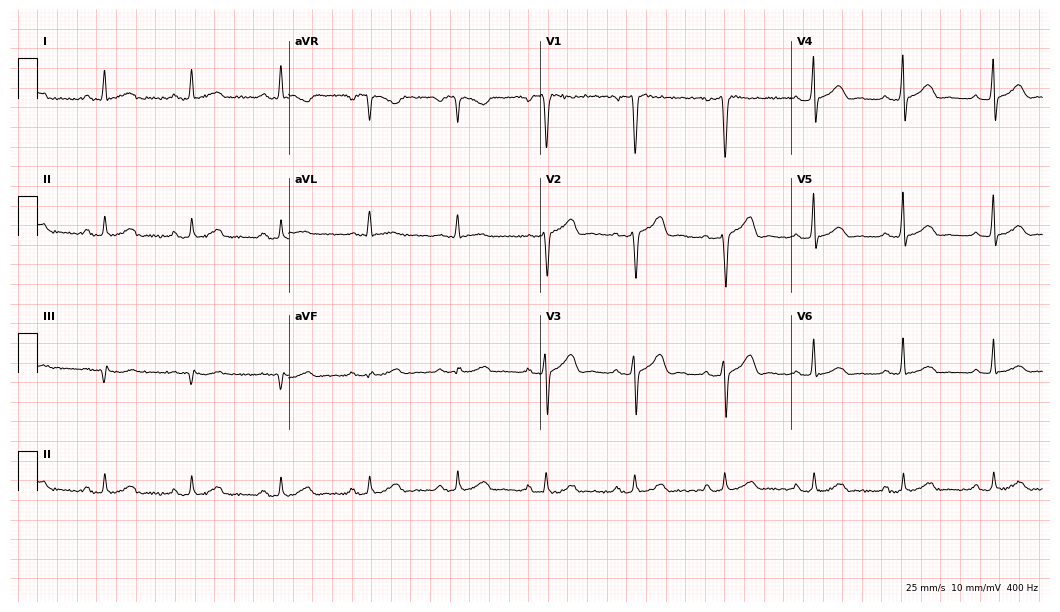
Electrocardiogram, a male patient, 45 years old. Overall reading on record: normal ECG.